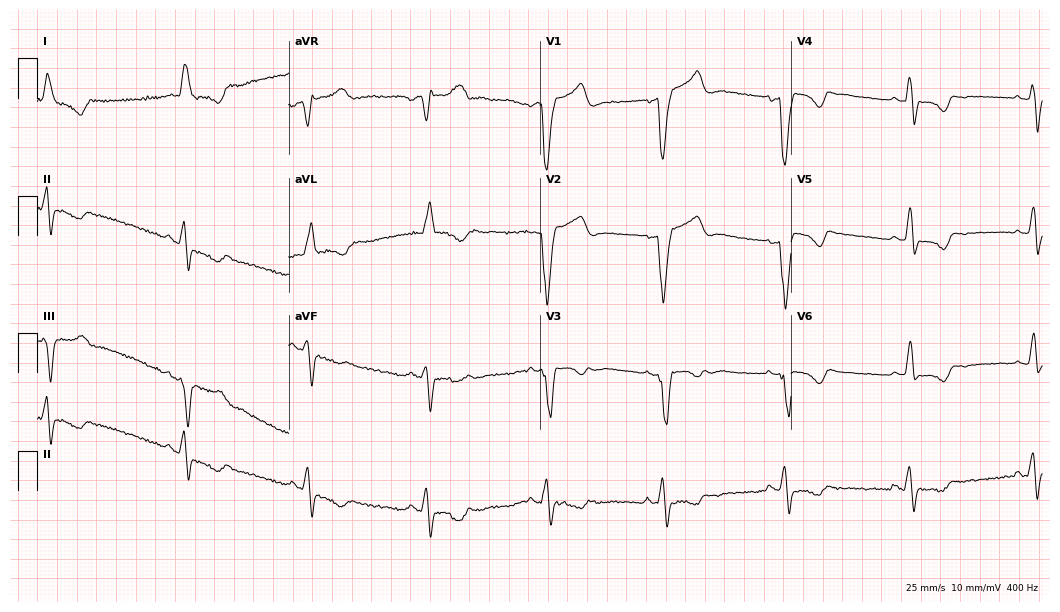
12-lead ECG (10.2-second recording at 400 Hz) from a 68-year-old male. Findings include left bundle branch block (LBBB), sinus bradycardia (a sinus rate of 50 beats per minute or less).